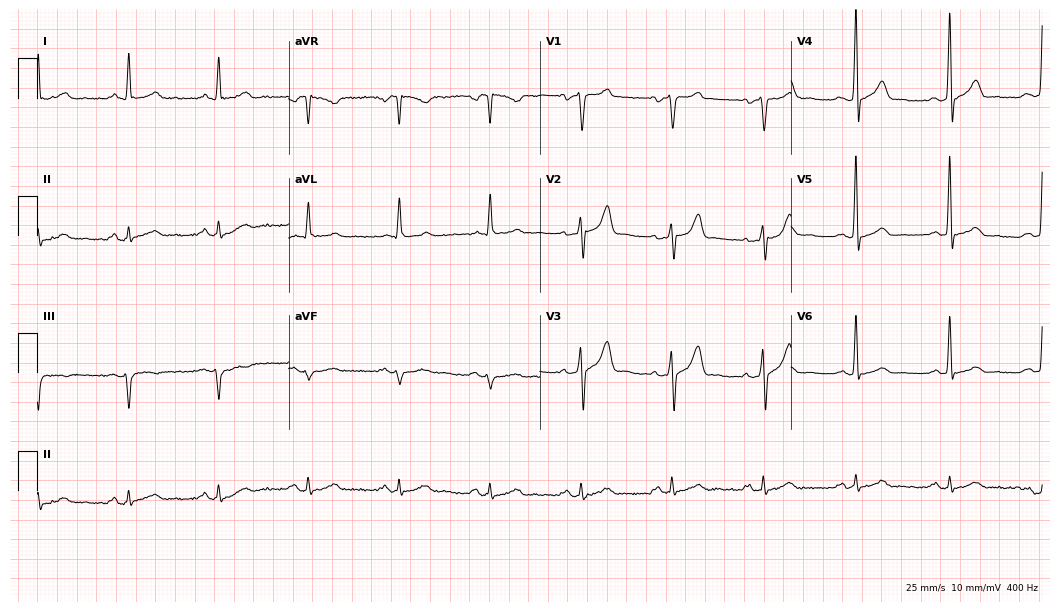
Resting 12-lead electrocardiogram (10.2-second recording at 400 Hz). Patient: a 68-year-old male. None of these six findings is recorded: first-degree AV block, right bundle branch block, left bundle branch block, sinus bradycardia, atrial fibrillation, sinus tachycardia. Other findings, if any, are not listed.